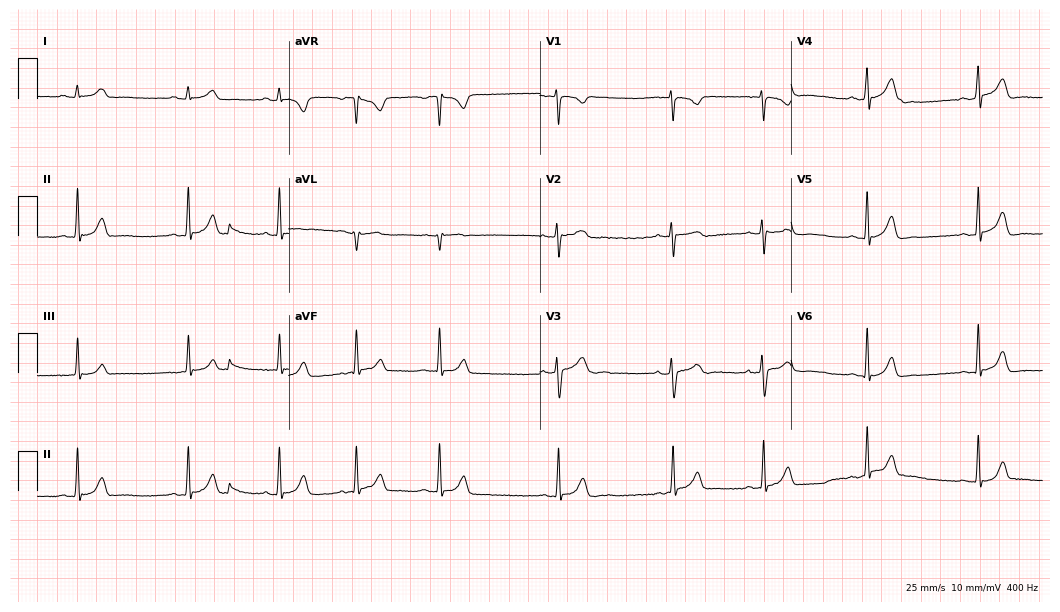
ECG (10.2-second recording at 400 Hz) — a woman, 26 years old. Labelled as a normal ECG.